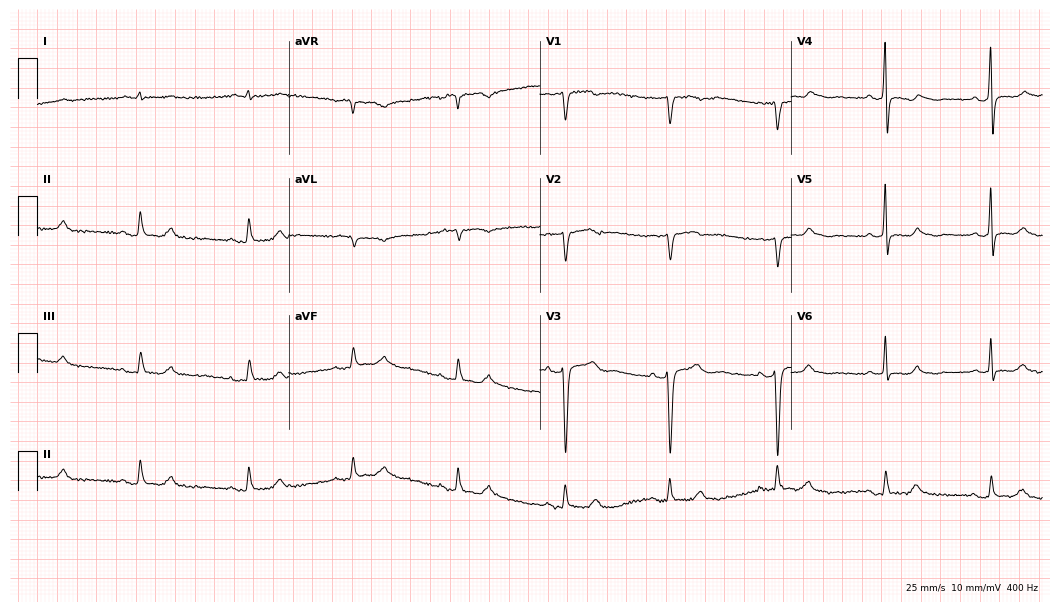
Electrocardiogram, a 72-year-old male. Overall reading on record: normal ECG.